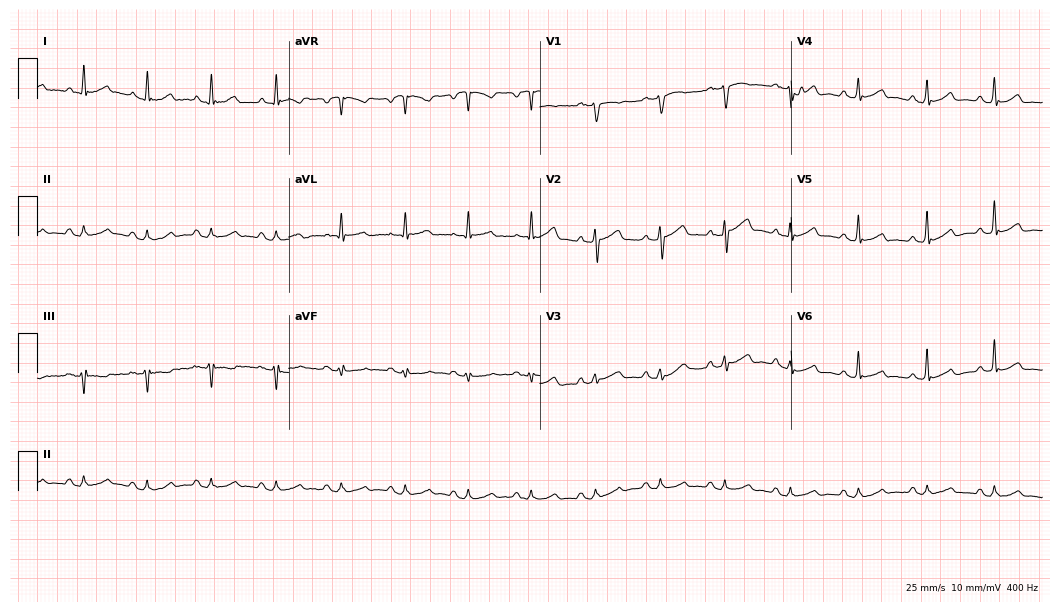
Resting 12-lead electrocardiogram. Patient: a male, 67 years old. Read as a normal ECG.